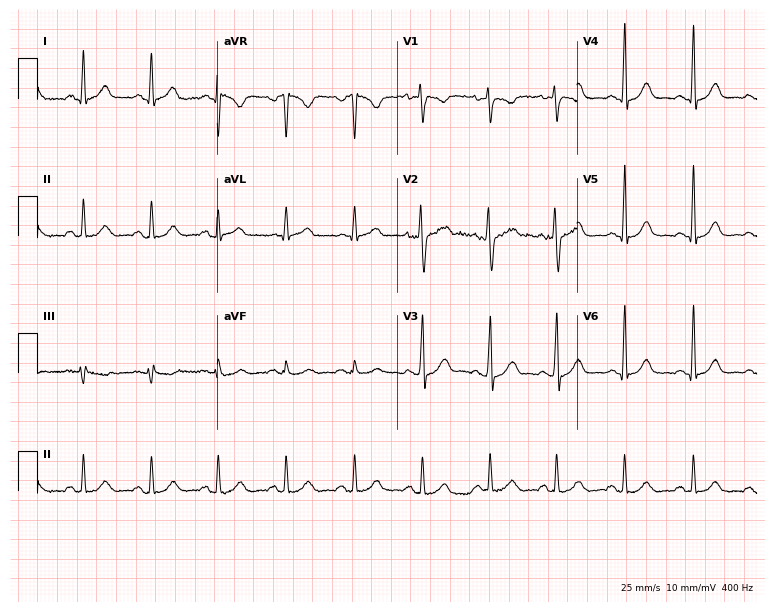
Standard 12-lead ECG recorded from a 43-year-old female (7.3-second recording at 400 Hz). Read as a normal ECG.